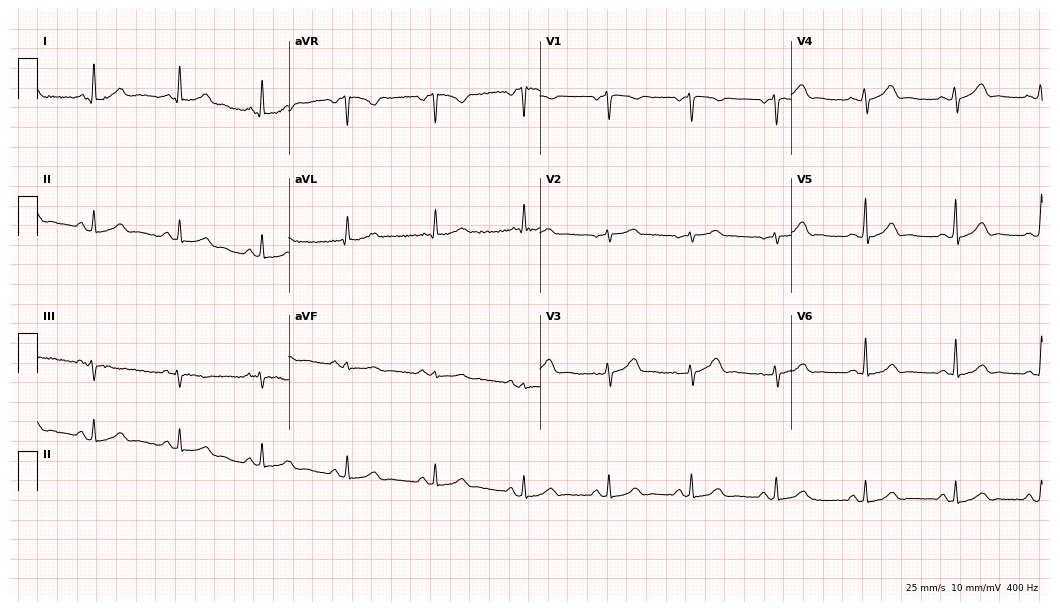
ECG (10.2-second recording at 400 Hz) — a female patient, 46 years old. Labelled as a normal ECG.